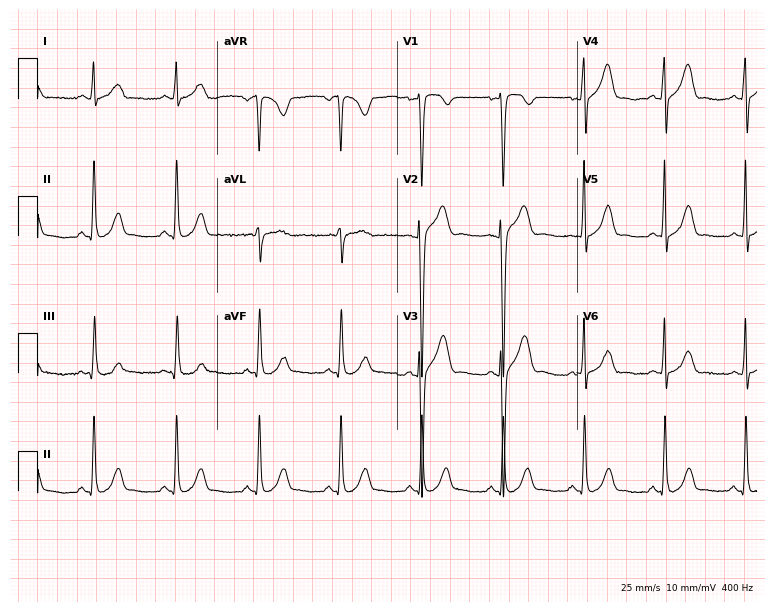
12-lead ECG from a 28-year-old male (7.3-second recording at 400 Hz). Recorded interpretation: within normal limits.